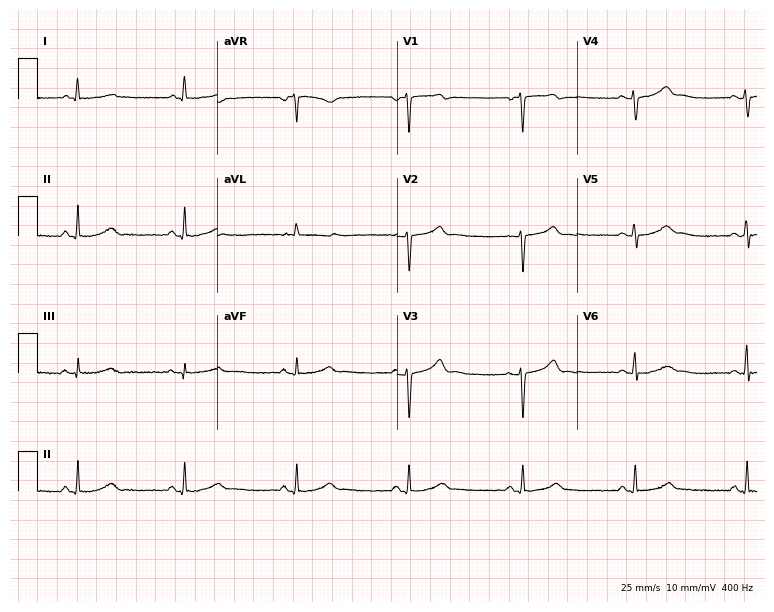
Standard 12-lead ECG recorded from a 48-year-old female patient. None of these six findings is recorded: first-degree AV block, right bundle branch block (RBBB), left bundle branch block (LBBB), sinus bradycardia, atrial fibrillation (AF), sinus tachycardia.